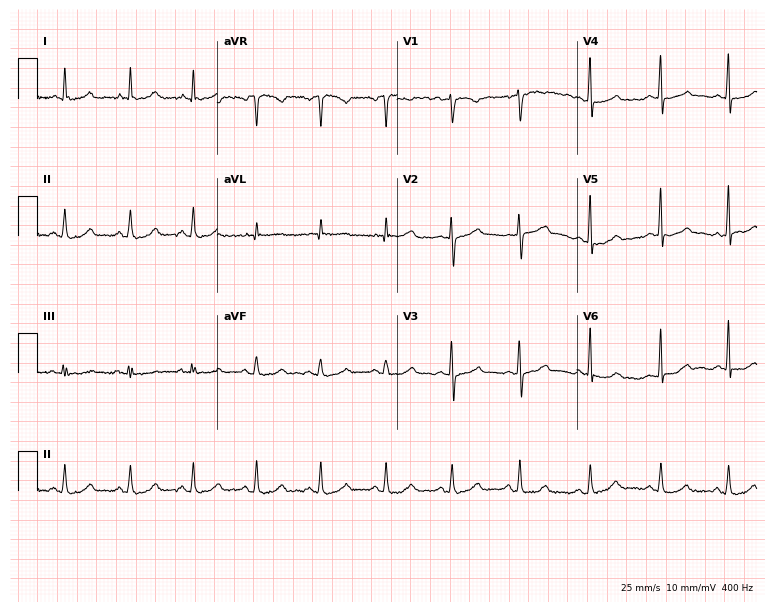
Electrocardiogram (7.3-second recording at 400 Hz), a female, 35 years old. Of the six screened findings (first-degree AV block, right bundle branch block, left bundle branch block, sinus bradycardia, atrial fibrillation, sinus tachycardia), none is recorded.